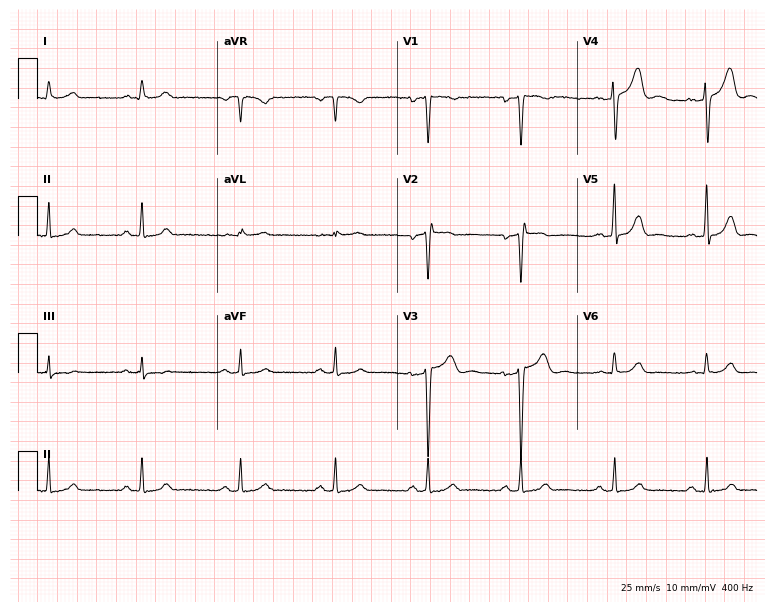
Resting 12-lead electrocardiogram. Patient: a male, 48 years old. Read as a normal ECG.